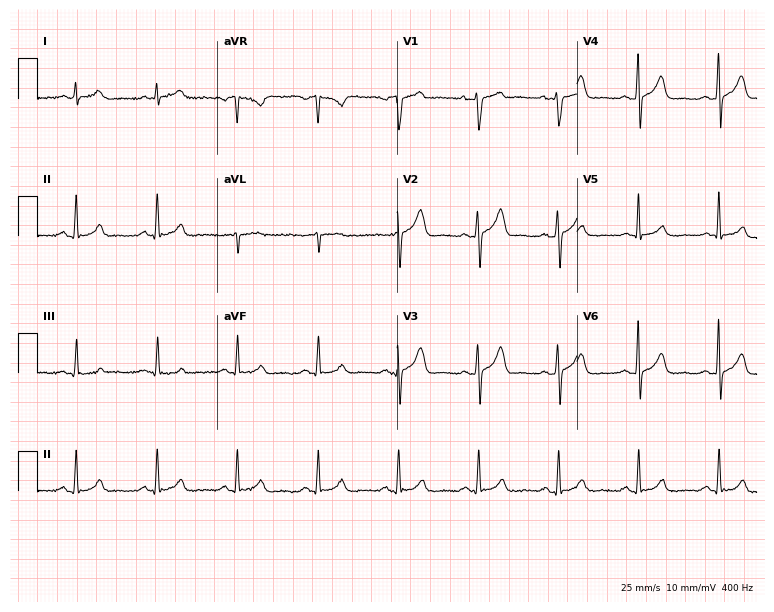
ECG (7.3-second recording at 400 Hz) — a 41-year-old male patient. Labelled as a normal ECG.